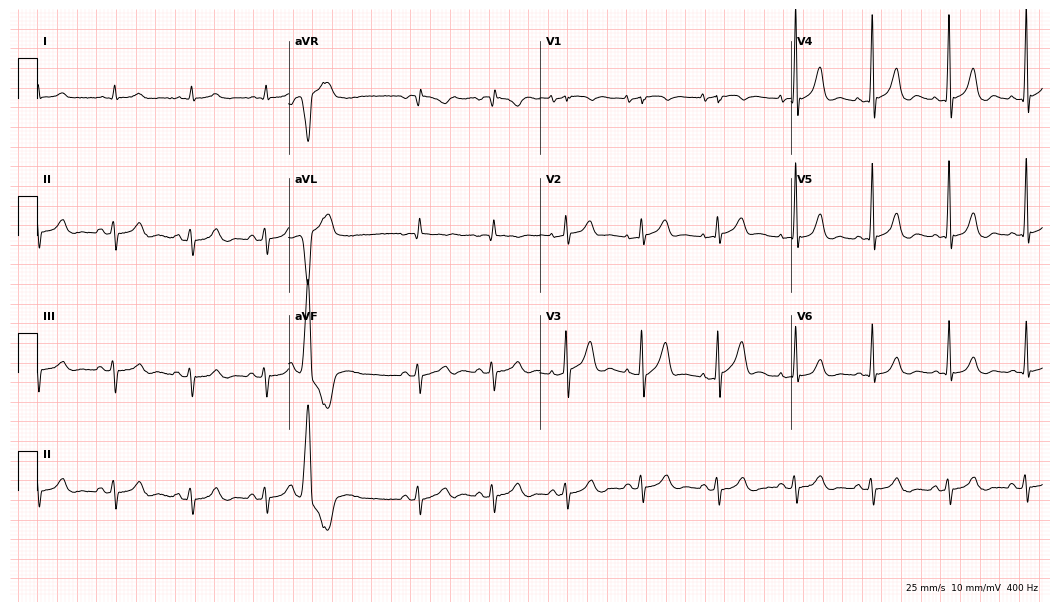
Standard 12-lead ECG recorded from a male, 78 years old (10.2-second recording at 400 Hz). None of these six findings is recorded: first-degree AV block, right bundle branch block, left bundle branch block, sinus bradycardia, atrial fibrillation, sinus tachycardia. Findings outside these six are not listed.